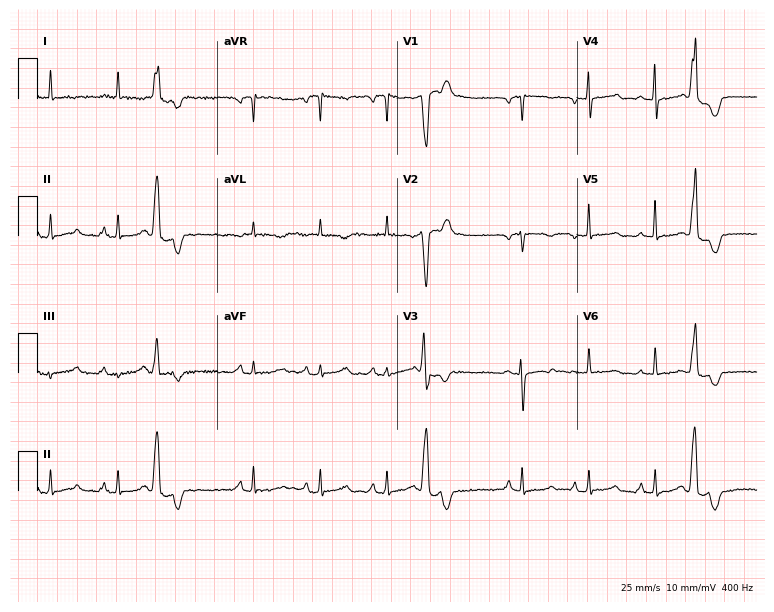
Resting 12-lead electrocardiogram (7.3-second recording at 400 Hz). Patient: a 53-year-old female. None of these six findings is recorded: first-degree AV block, right bundle branch block, left bundle branch block, sinus bradycardia, atrial fibrillation, sinus tachycardia.